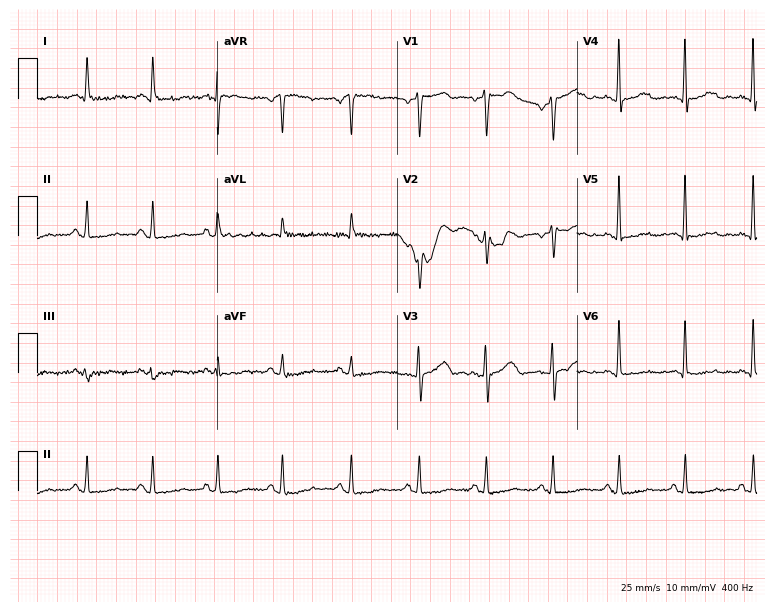
12-lead ECG from a 51-year-old woman. Screened for six findings — first-degree AV block, right bundle branch block, left bundle branch block, sinus bradycardia, atrial fibrillation, sinus tachycardia — none is recorded. Other findings, if any, are not listed.